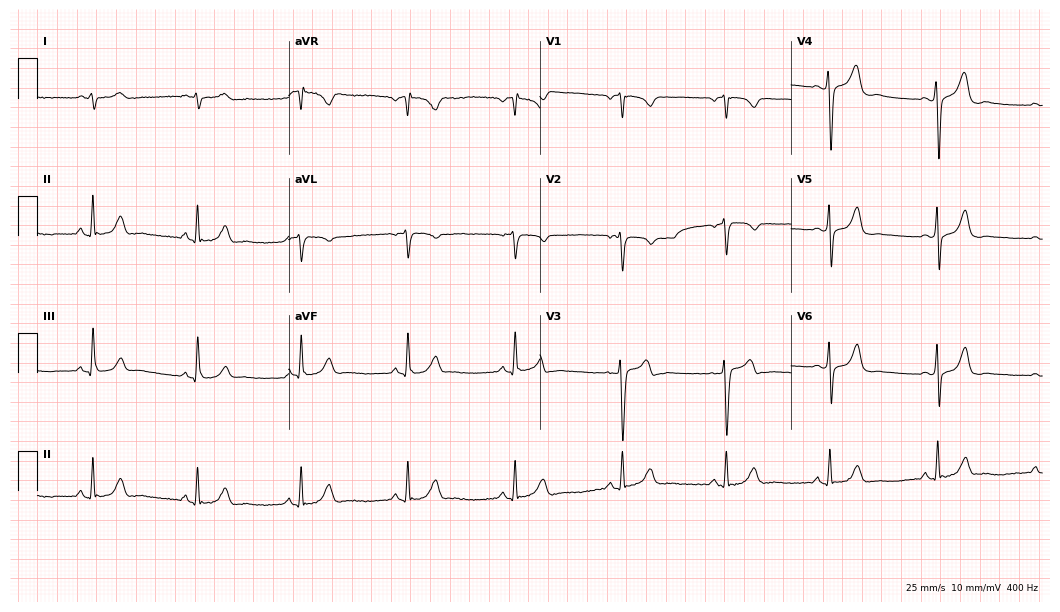
Resting 12-lead electrocardiogram. Patient: a 38-year-old male. None of these six findings is recorded: first-degree AV block, right bundle branch block, left bundle branch block, sinus bradycardia, atrial fibrillation, sinus tachycardia.